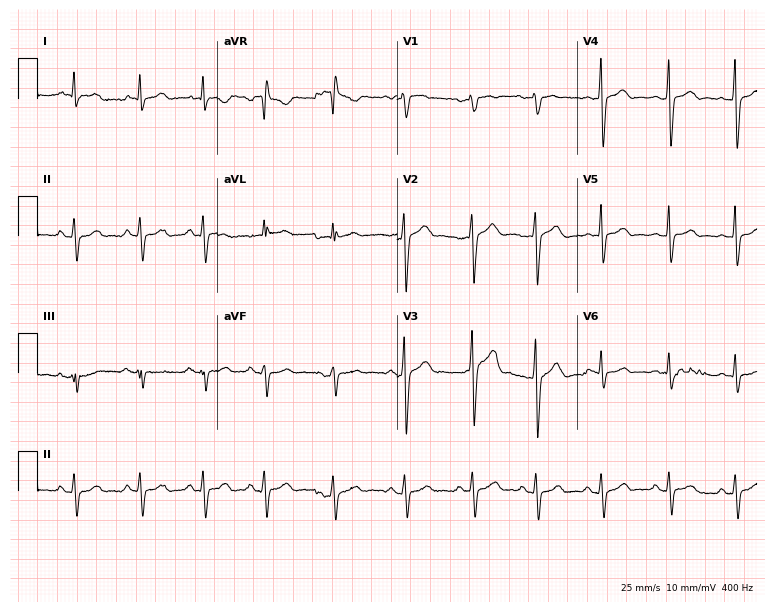
12-lead ECG from a 39-year-old female patient (7.3-second recording at 400 Hz). No first-degree AV block, right bundle branch block (RBBB), left bundle branch block (LBBB), sinus bradycardia, atrial fibrillation (AF) or sinus tachycardia recorded for this tracing.